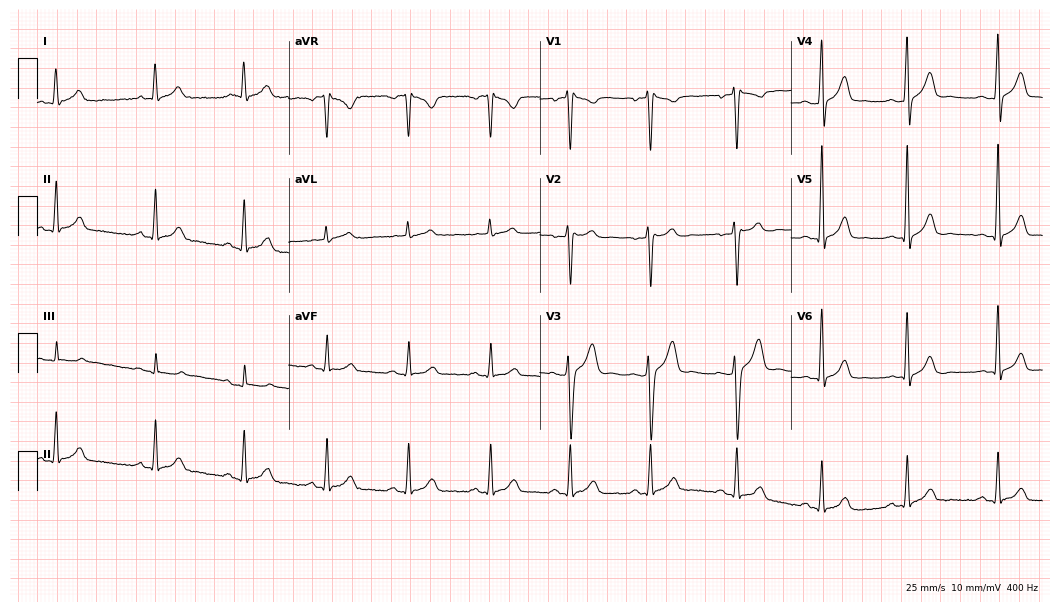
12-lead ECG (10.2-second recording at 400 Hz) from a man, 19 years old. Labelled as a normal ECG.